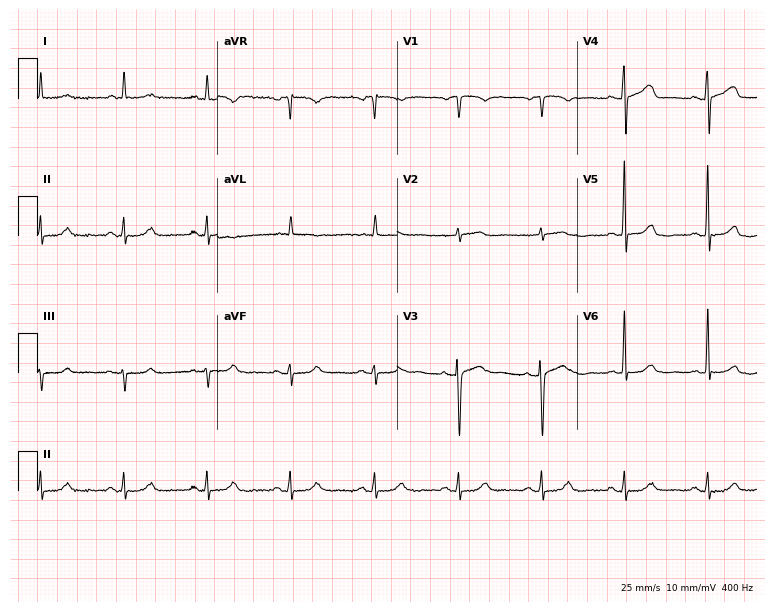
Electrocardiogram (7.3-second recording at 400 Hz), a female patient, 72 years old. Overall reading on record: normal ECG.